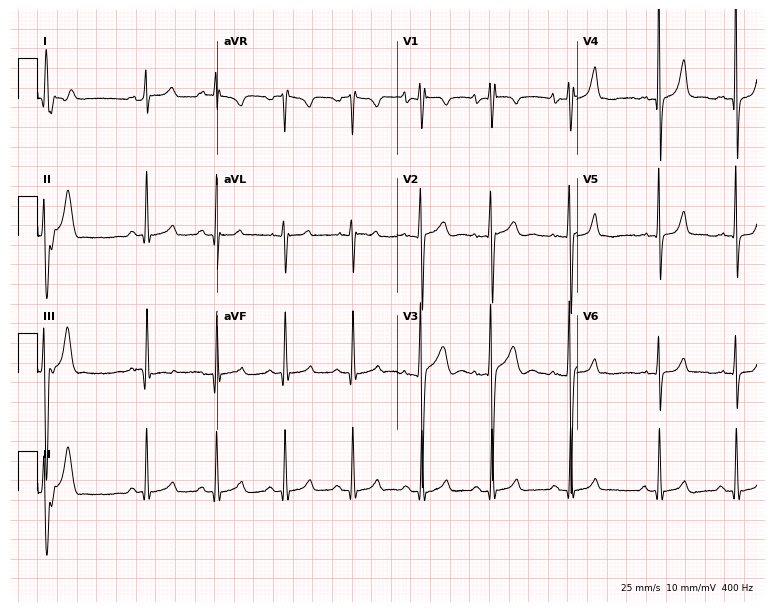
12-lead ECG from an 18-year-old man (7.3-second recording at 400 Hz). Recorded interpretation: within normal limits.